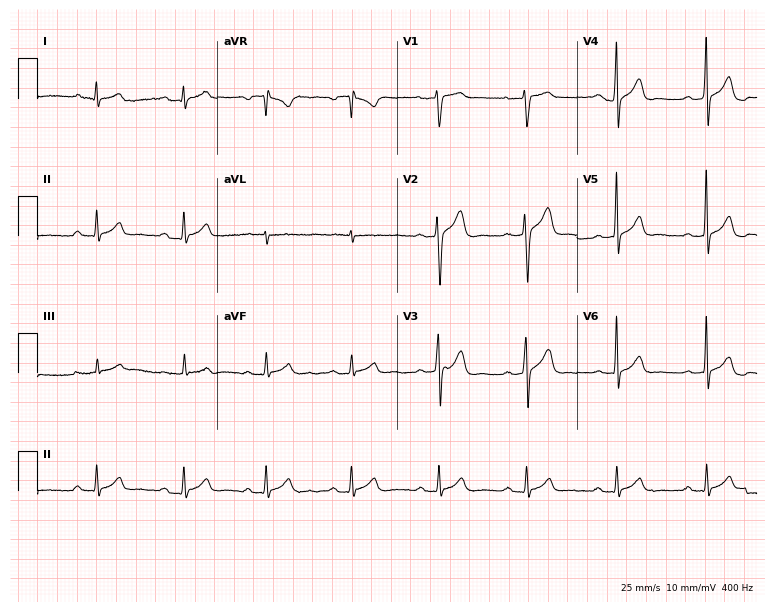
12-lead ECG from a man, 24 years old. No first-degree AV block, right bundle branch block, left bundle branch block, sinus bradycardia, atrial fibrillation or sinus tachycardia recorded for this tracing.